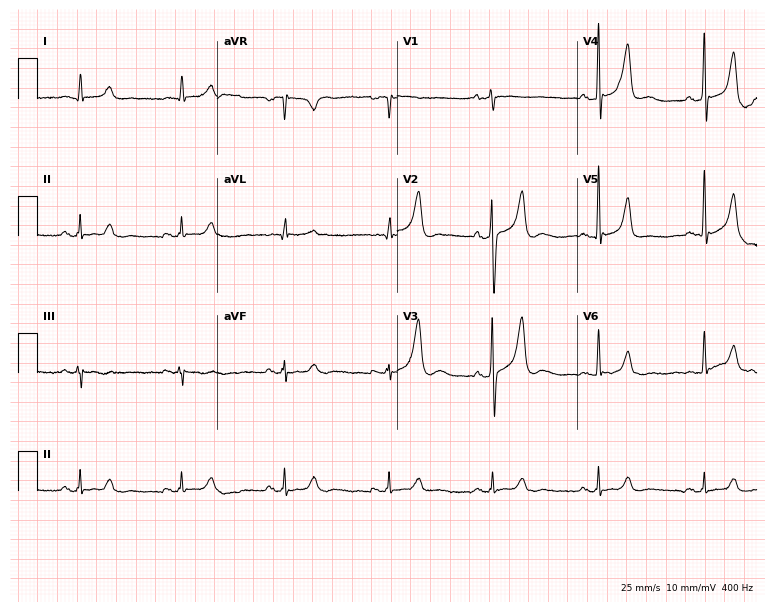
Standard 12-lead ECG recorded from a 72-year-old male patient (7.3-second recording at 400 Hz). None of these six findings is recorded: first-degree AV block, right bundle branch block (RBBB), left bundle branch block (LBBB), sinus bradycardia, atrial fibrillation (AF), sinus tachycardia.